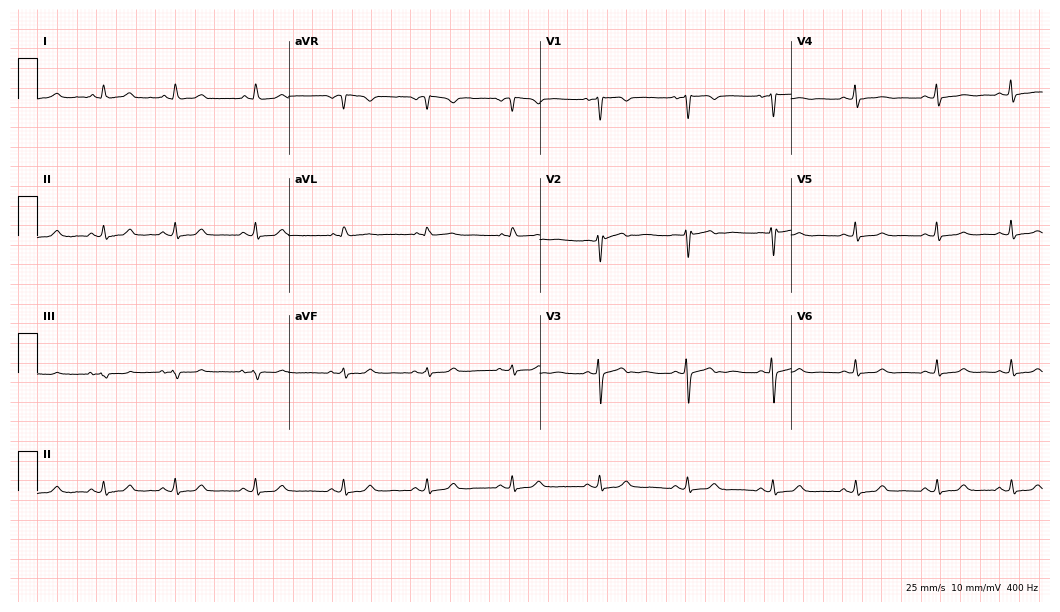
Resting 12-lead electrocardiogram (10.2-second recording at 400 Hz). Patient: a female, 30 years old. None of these six findings is recorded: first-degree AV block, right bundle branch block (RBBB), left bundle branch block (LBBB), sinus bradycardia, atrial fibrillation (AF), sinus tachycardia. Only these six findings were labelled.